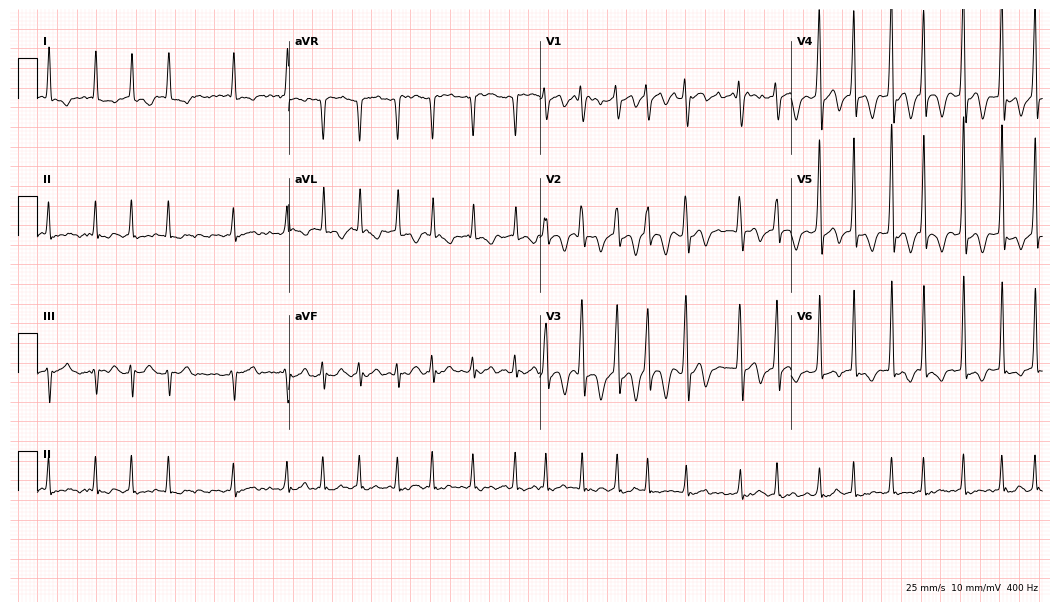
12-lead ECG from a male patient, 81 years old. Shows atrial fibrillation.